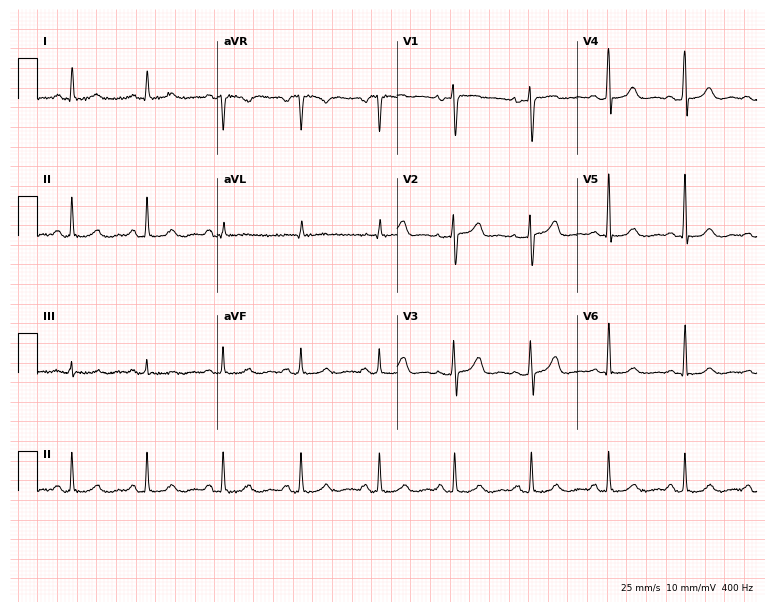
Standard 12-lead ECG recorded from a 51-year-old female. Read as a normal ECG.